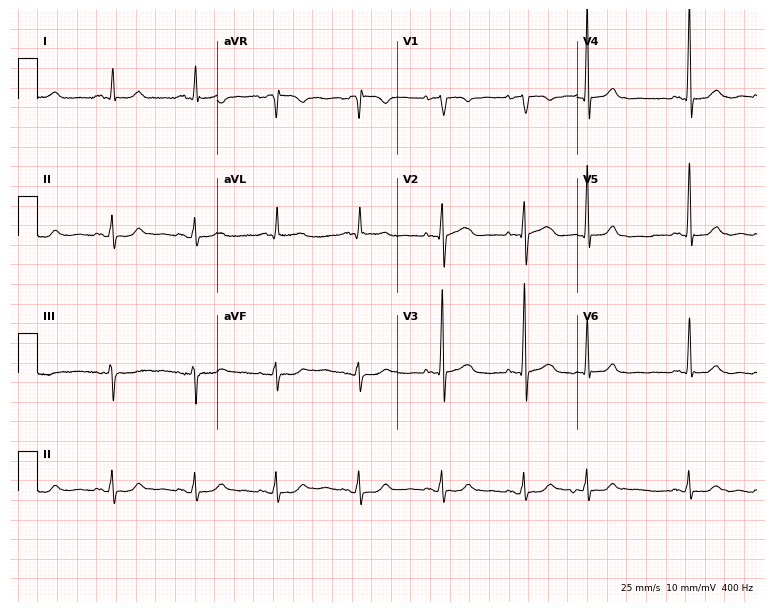
Electrocardiogram (7.3-second recording at 400 Hz), a 66-year-old male. Of the six screened findings (first-degree AV block, right bundle branch block, left bundle branch block, sinus bradycardia, atrial fibrillation, sinus tachycardia), none is recorded. Other findings, if any, are not listed.